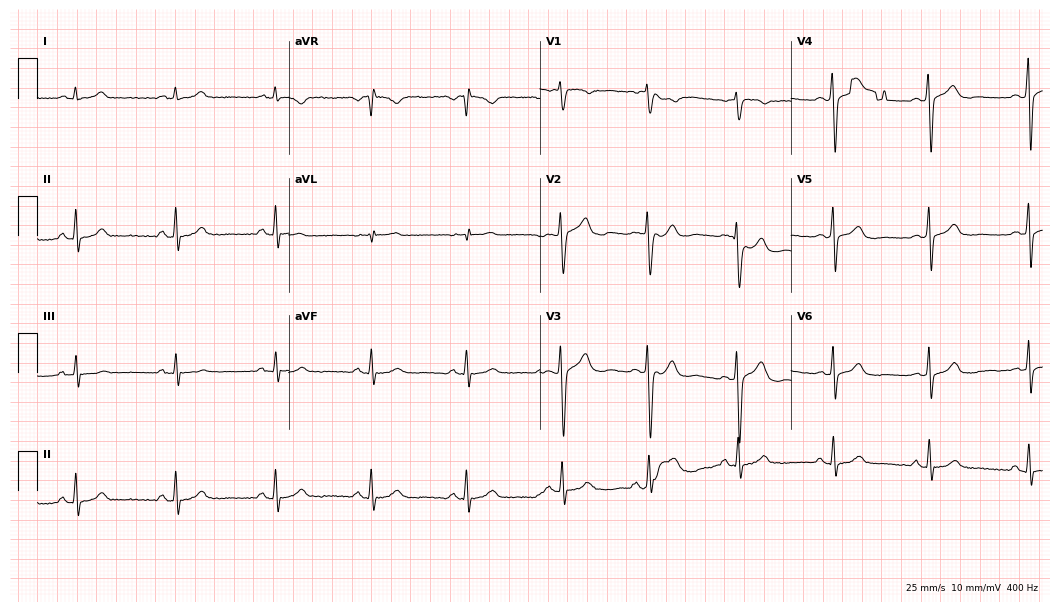
Standard 12-lead ECG recorded from a male patient, 35 years old. None of these six findings is recorded: first-degree AV block, right bundle branch block, left bundle branch block, sinus bradycardia, atrial fibrillation, sinus tachycardia. Findings outside these six are not listed.